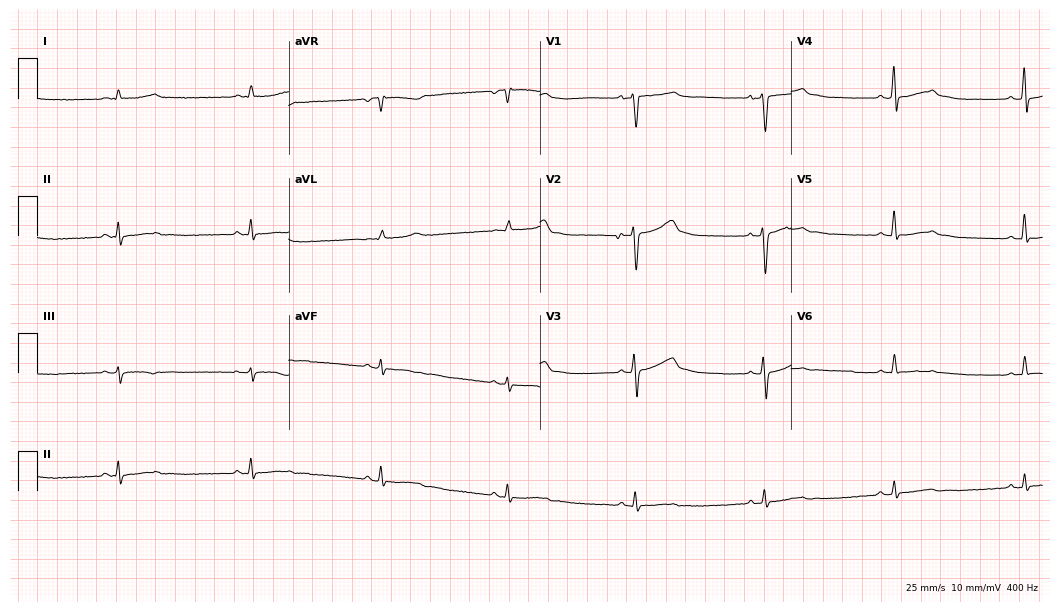
Resting 12-lead electrocardiogram (10.2-second recording at 400 Hz). Patient: a female, 42 years old. The tracing shows sinus bradycardia (a sinus rate of 50 beats per minute or less).